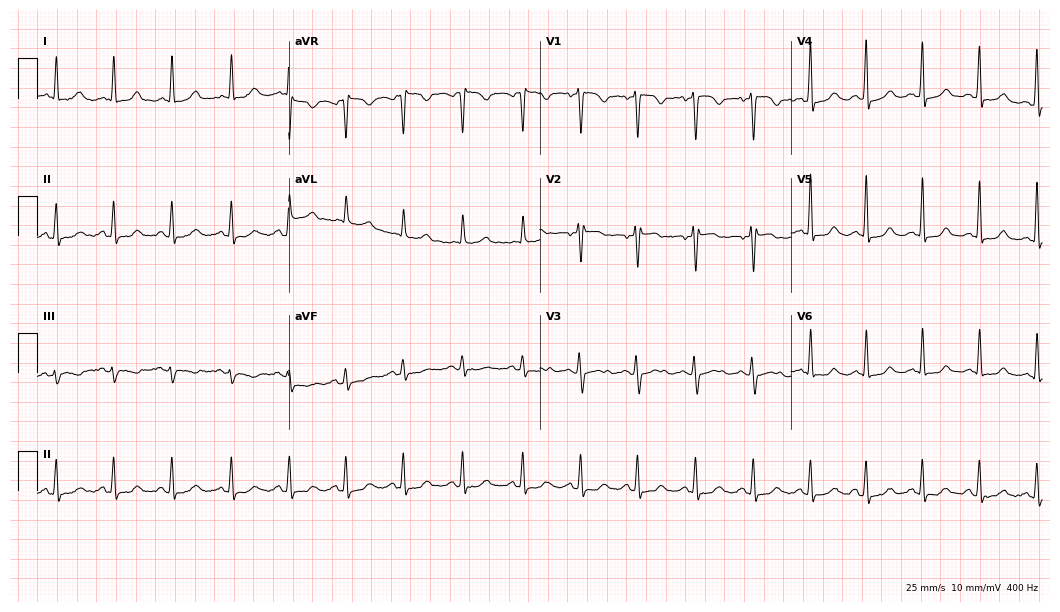
12-lead ECG from a 37-year-old female patient. Shows sinus tachycardia (a sinus rate of 100 beats per minute or more).